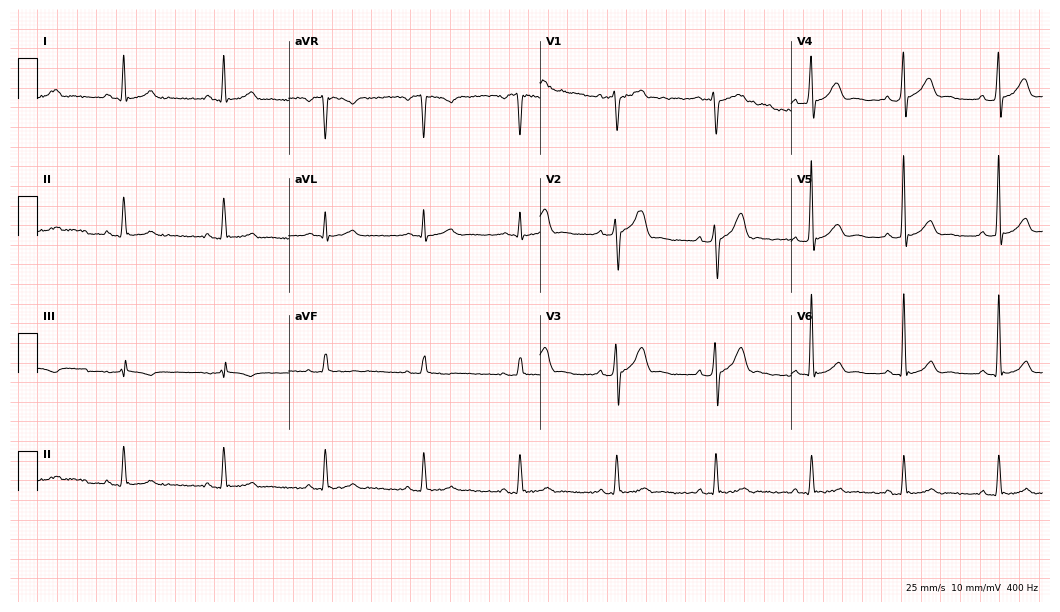
Standard 12-lead ECG recorded from a 41-year-old male patient (10.2-second recording at 400 Hz). None of these six findings is recorded: first-degree AV block, right bundle branch block, left bundle branch block, sinus bradycardia, atrial fibrillation, sinus tachycardia.